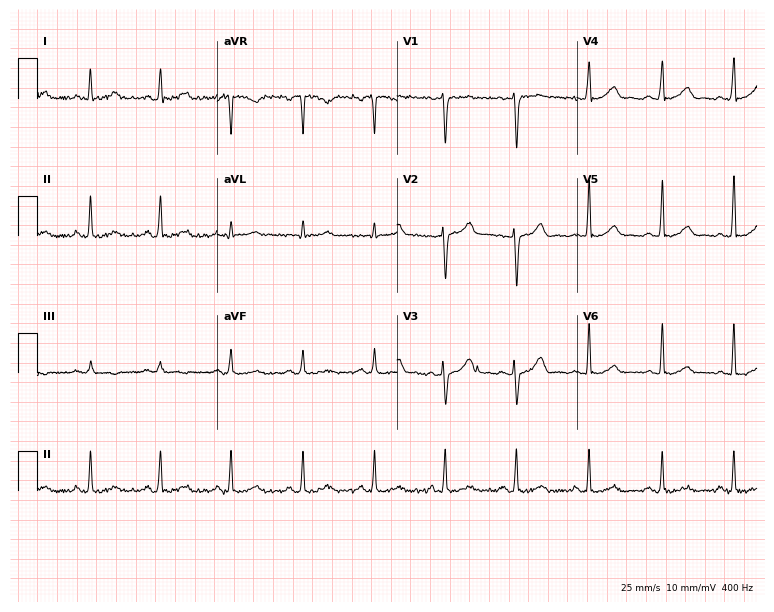
Electrocardiogram (7.3-second recording at 400 Hz), a female, 40 years old. Overall reading on record: normal ECG.